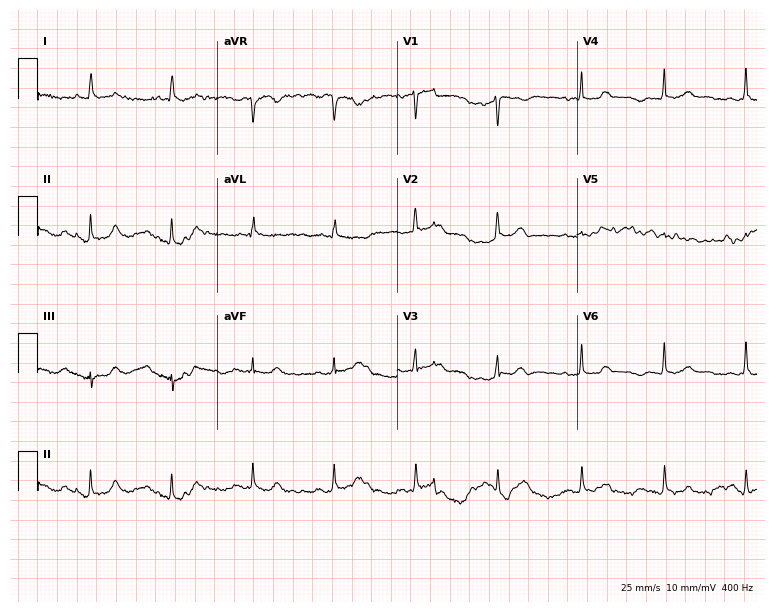
ECG — a 66-year-old woman. Screened for six findings — first-degree AV block, right bundle branch block (RBBB), left bundle branch block (LBBB), sinus bradycardia, atrial fibrillation (AF), sinus tachycardia — none is recorded.